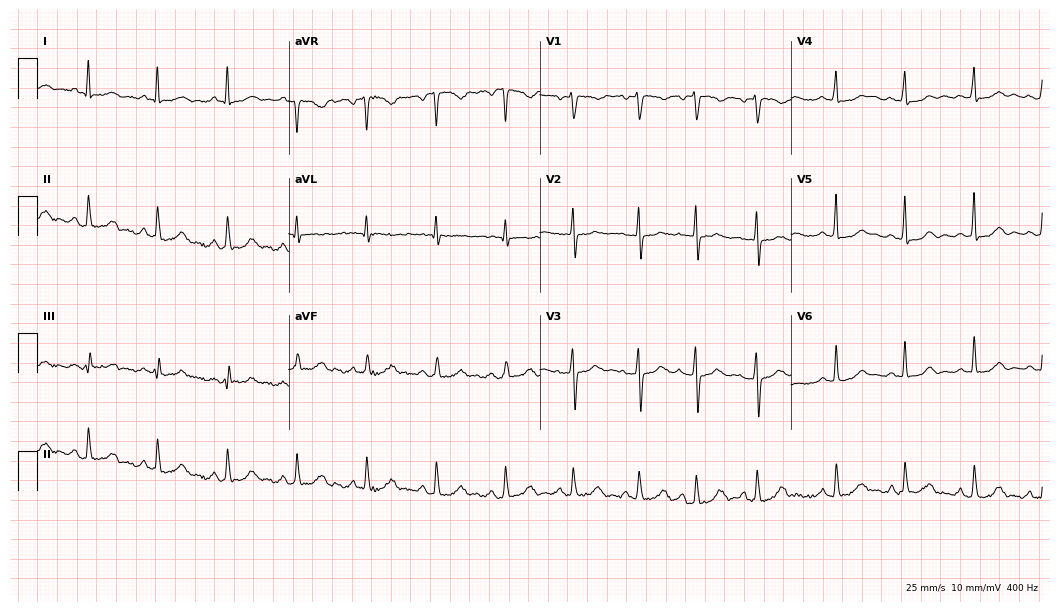
12-lead ECG from a 37-year-old female patient. No first-degree AV block, right bundle branch block, left bundle branch block, sinus bradycardia, atrial fibrillation or sinus tachycardia recorded for this tracing. Only these six findings were labelled.